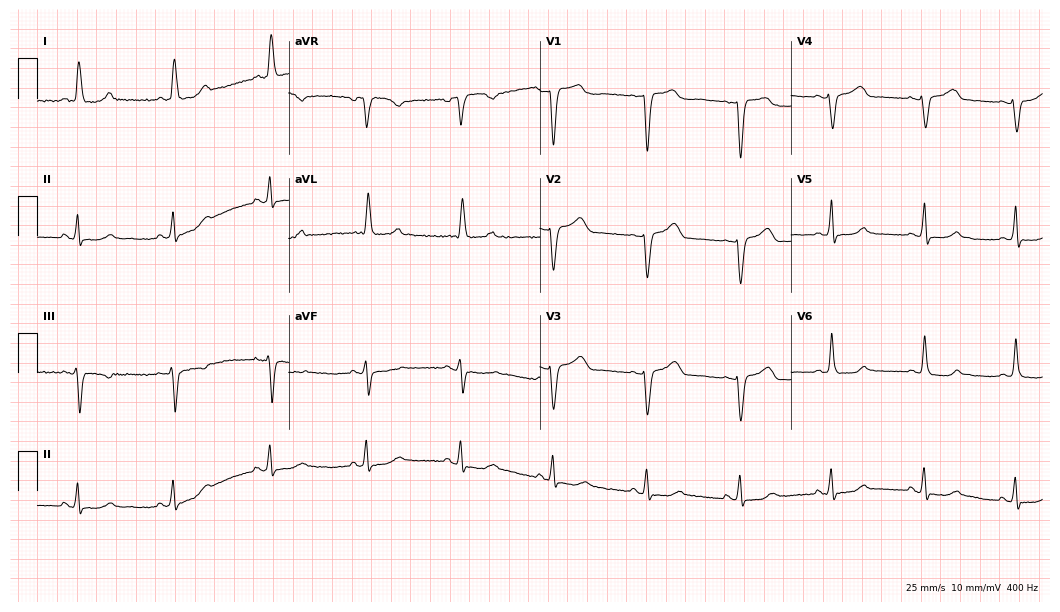
12-lead ECG from a 57-year-old woman (10.2-second recording at 400 Hz). No first-degree AV block, right bundle branch block, left bundle branch block, sinus bradycardia, atrial fibrillation or sinus tachycardia recorded for this tracing.